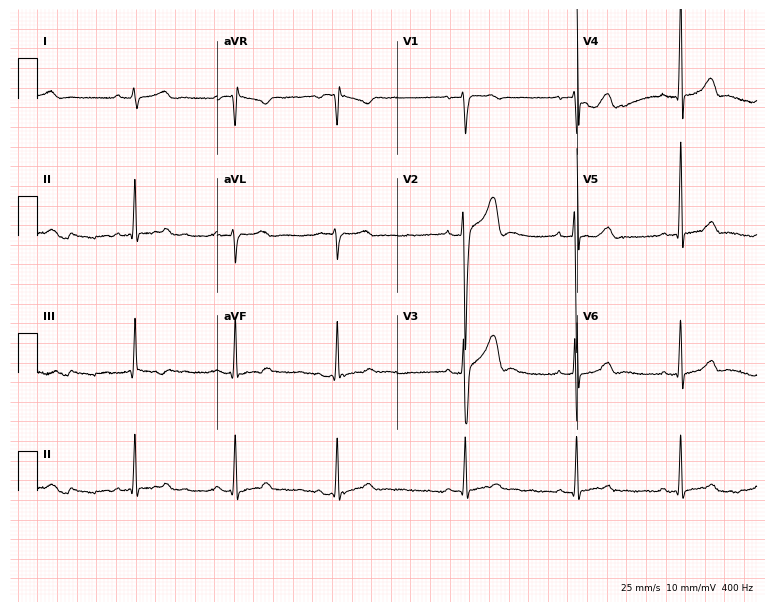
Resting 12-lead electrocardiogram. Patient: a 30-year-old male. Read as a normal ECG.